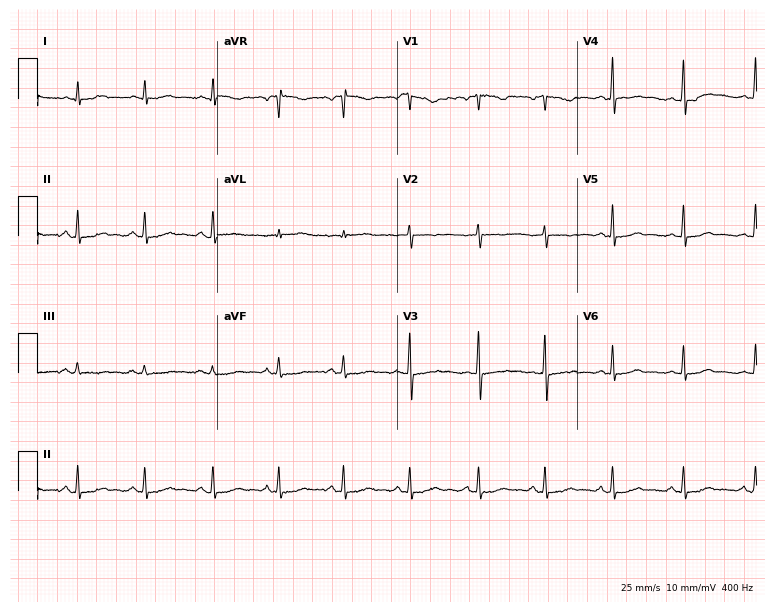
12-lead ECG from a woman, 21 years old (7.3-second recording at 400 Hz). Recorded interpretation: within normal limits.